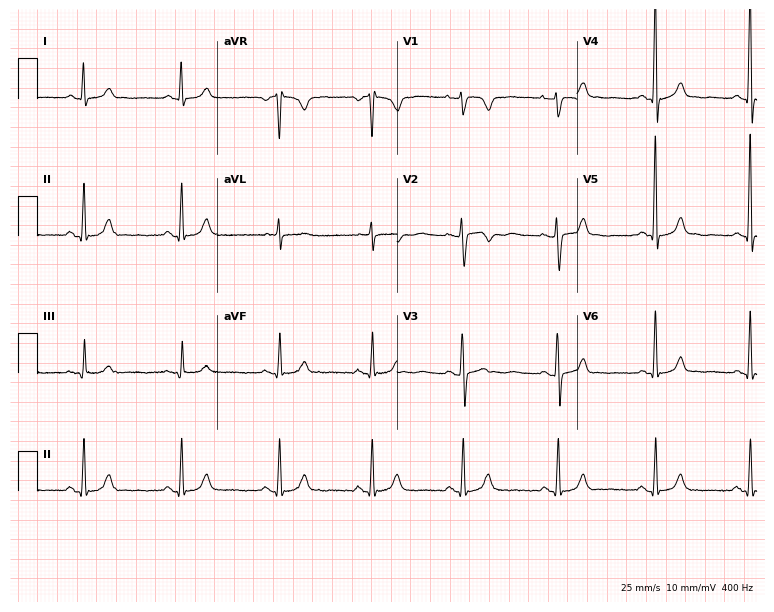
Electrocardiogram, a 65-year-old female. Of the six screened findings (first-degree AV block, right bundle branch block, left bundle branch block, sinus bradycardia, atrial fibrillation, sinus tachycardia), none is recorded.